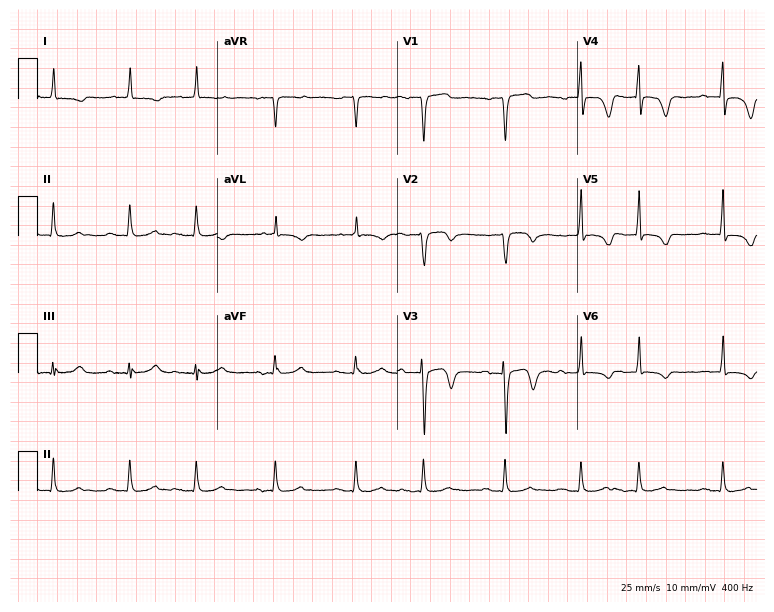
Electrocardiogram (7.3-second recording at 400 Hz), a man, 78 years old. Of the six screened findings (first-degree AV block, right bundle branch block (RBBB), left bundle branch block (LBBB), sinus bradycardia, atrial fibrillation (AF), sinus tachycardia), none is recorded. Findings outside these six are not listed.